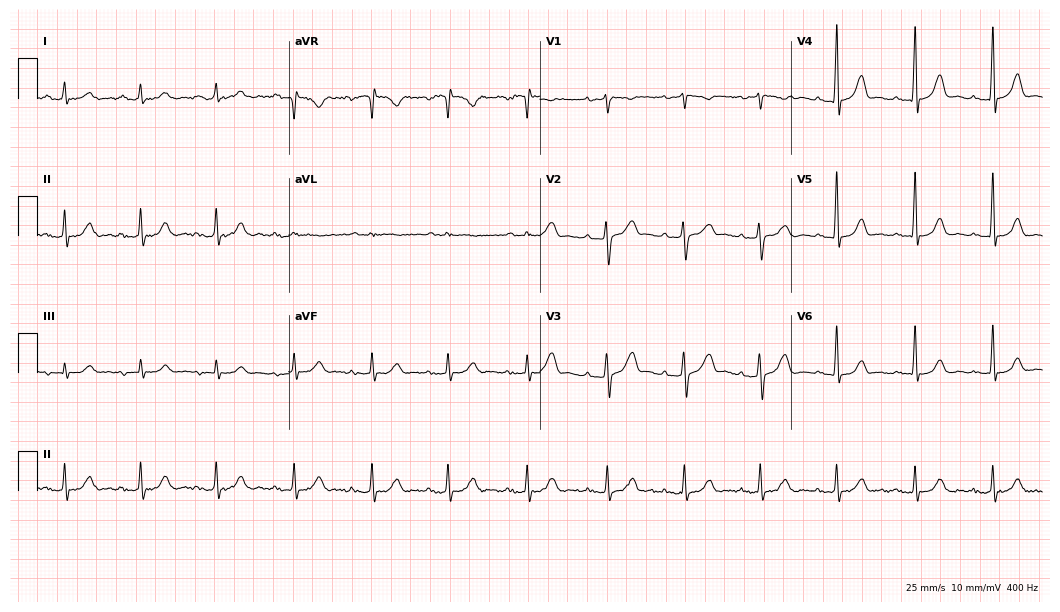
ECG — a woman, 50 years old. Labelled as a normal ECG.